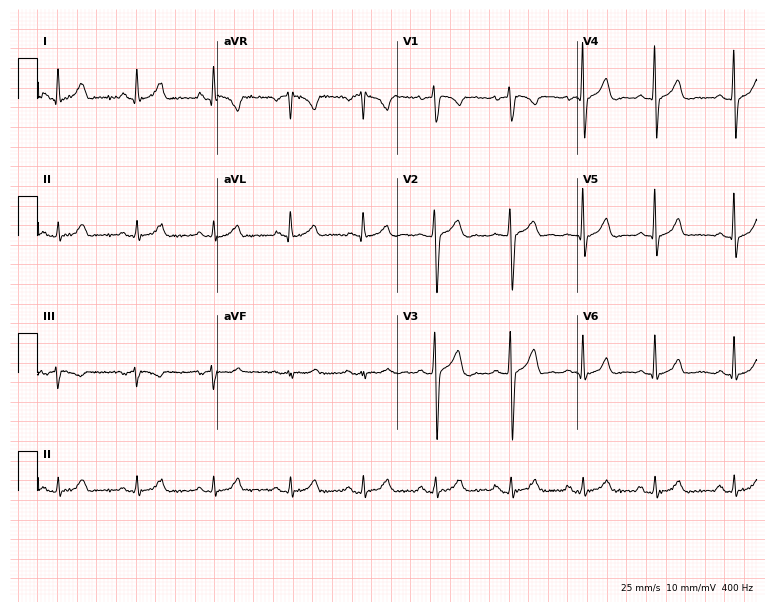
Resting 12-lead electrocardiogram. Patient: a male, 22 years old. Read as a normal ECG.